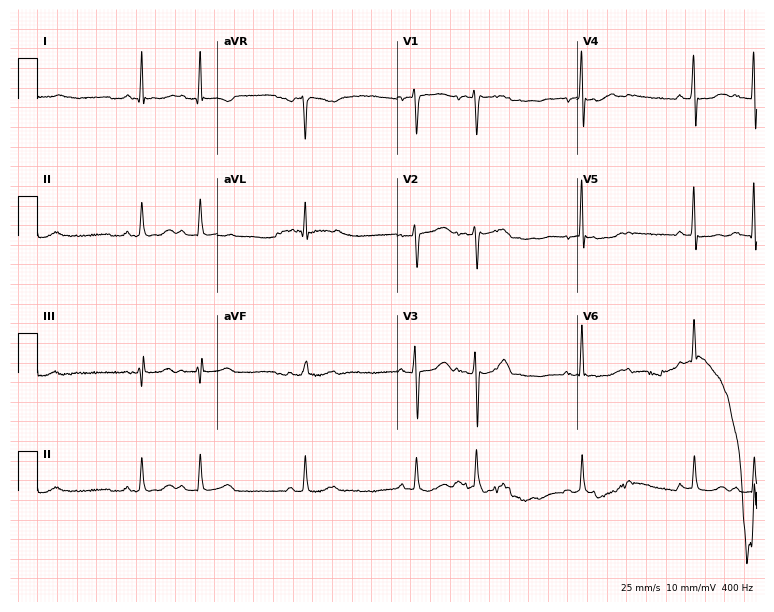
ECG — a woman, 70 years old. Screened for six findings — first-degree AV block, right bundle branch block (RBBB), left bundle branch block (LBBB), sinus bradycardia, atrial fibrillation (AF), sinus tachycardia — none is recorded.